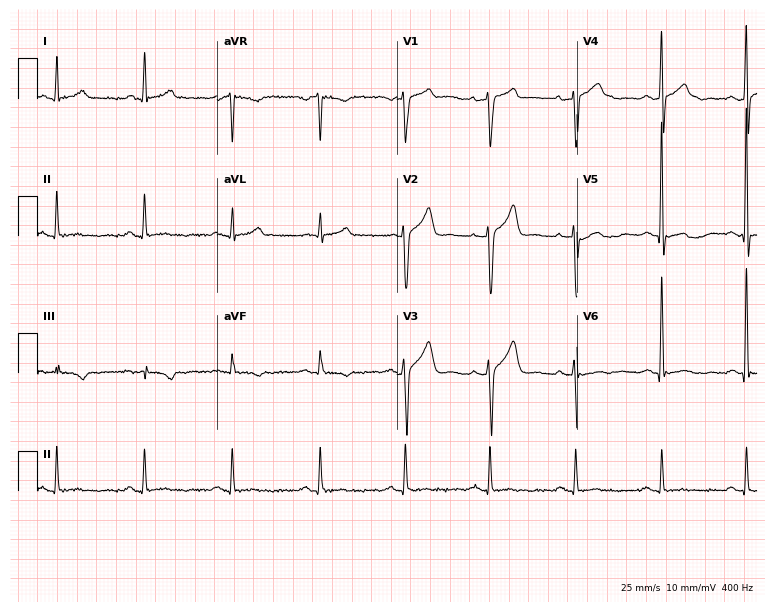
12-lead ECG (7.3-second recording at 400 Hz) from a man, 58 years old. Screened for six findings — first-degree AV block, right bundle branch block (RBBB), left bundle branch block (LBBB), sinus bradycardia, atrial fibrillation (AF), sinus tachycardia — none is recorded. Findings outside these six are not listed.